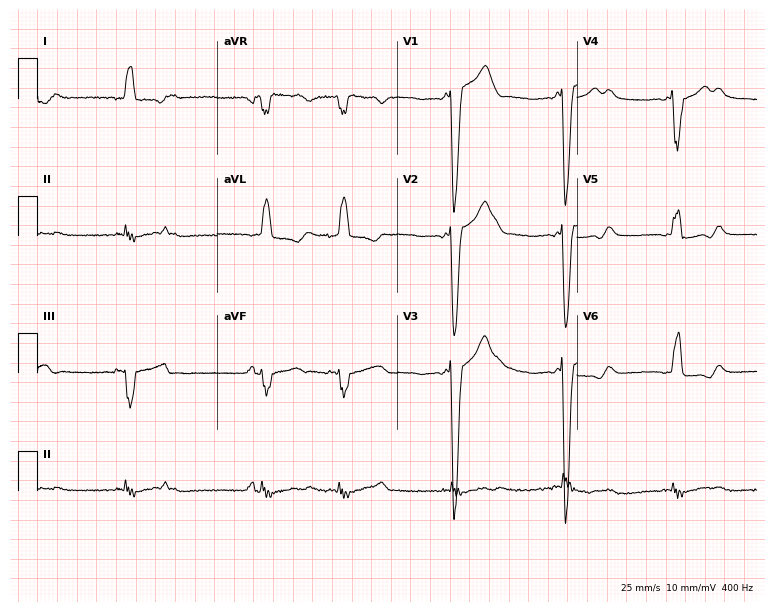
Resting 12-lead electrocardiogram. Patient: a 75-year-old male. The tracing shows left bundle branch block.